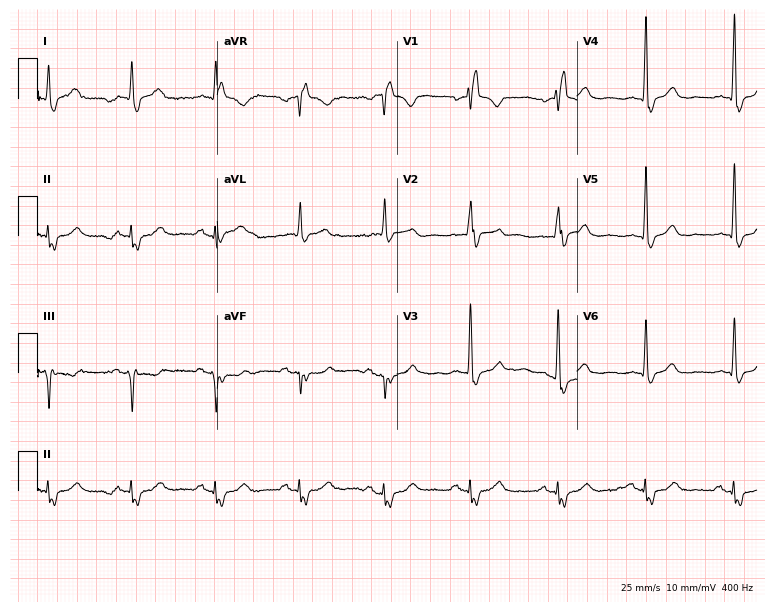
Resting 12-lead electrocardiogram. Patient: a 47-year-old man. The tracing shows right bundle branch block.